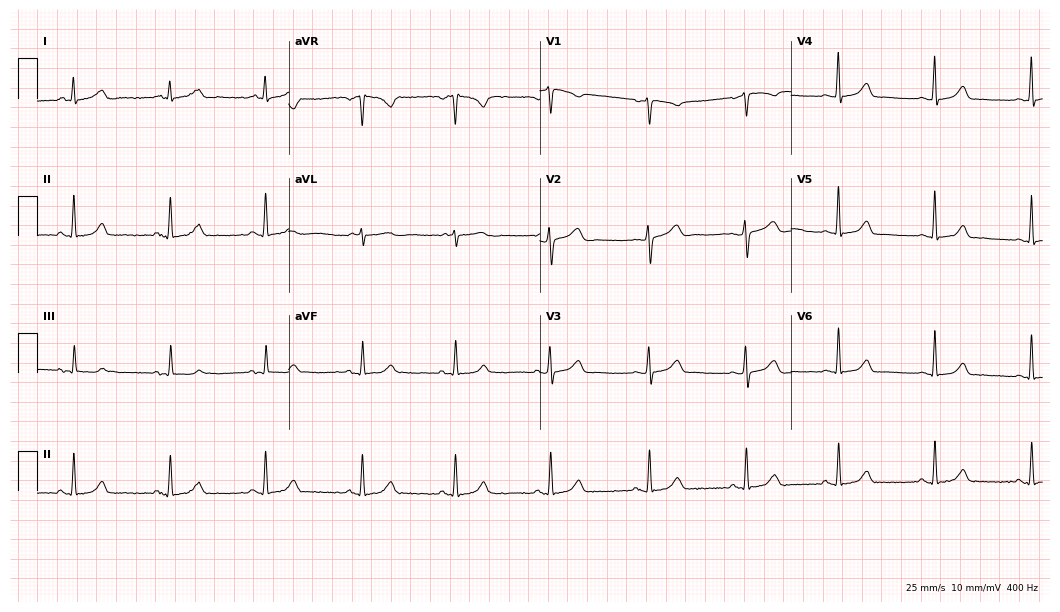
Resting 12-lead electrocardiogram. Patient: a woman, 50 years old. Read as a normal ECG.